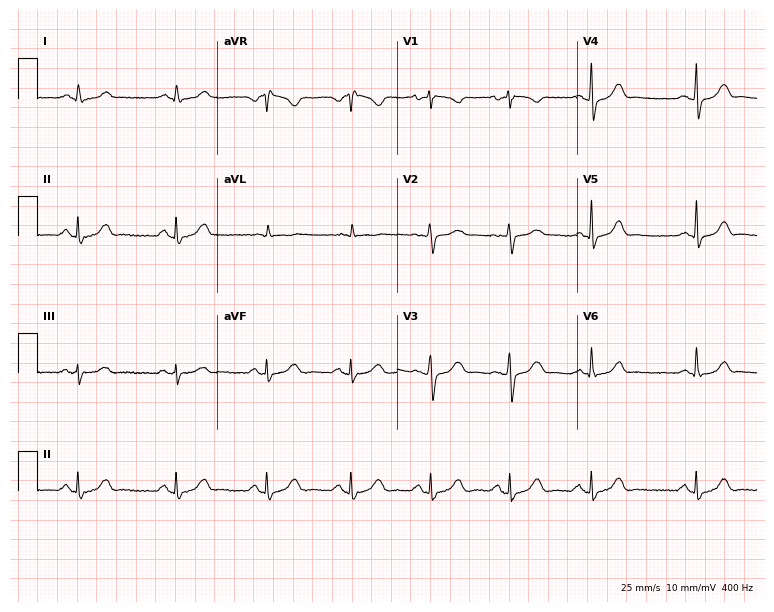
Electrocardiogram, a 36-year-old female patient. Overall reading on record: normal ECG.